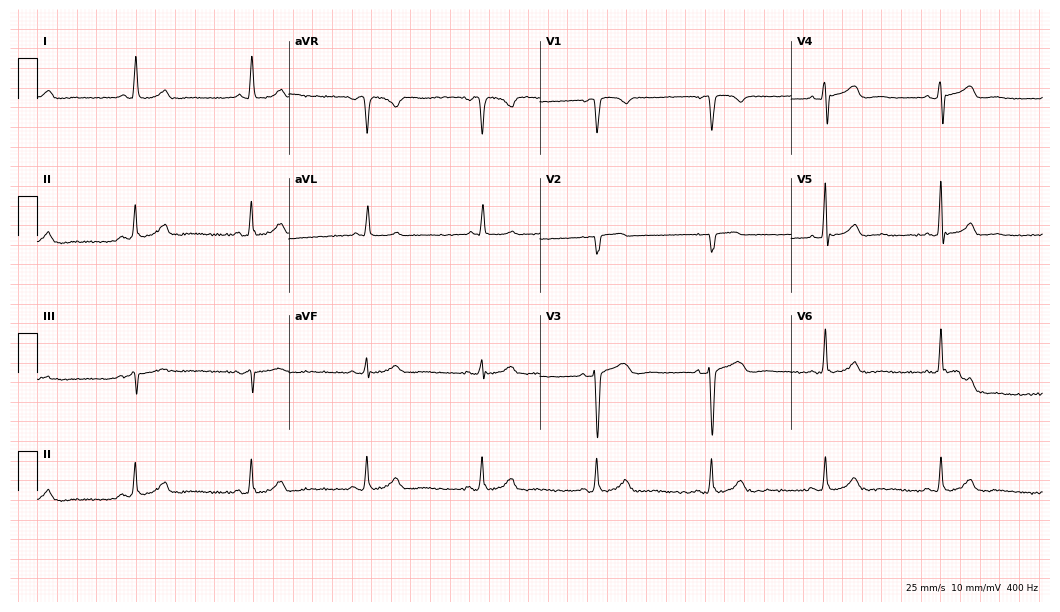
Standard 12-lead ECG recorded from a female, 55 years old. Read as a normal ECG.